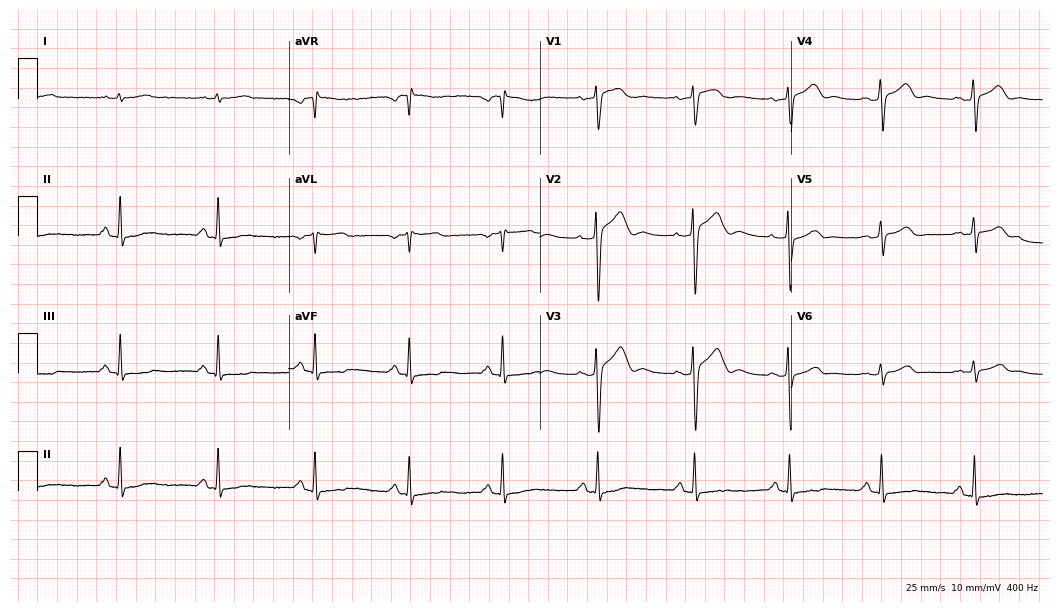
Resting 12-lead electrocardiogram (10.2-second recording at 400 Hz). Patient: a woman, 50 years old. None of these six findings is recorded: first-degree AV block, right bundle branch block (RBBB), left bundle branch block (LBBB), sinus bradycardia, atrial fibrillation (AF), sinus tachycardia. Other findings, if any, are not listed.